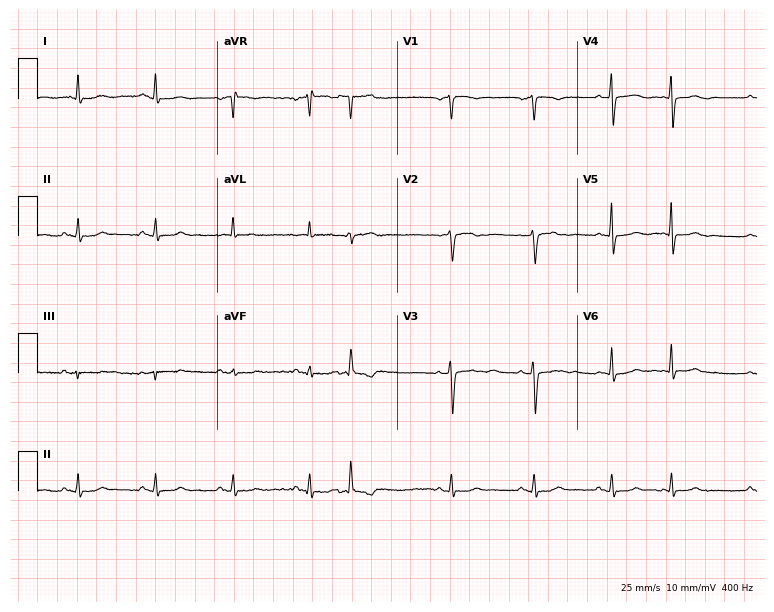
12-lead ECG (7.3-second recording at 400 Hz) from a 79-year-old woman. Screened for six findings — first-degree AV block, right bundle branch block, left bundle branch block, sinus bradycardia, atrial fibrillation, sinus tachycardia — none is recorded. Only these six findings were labelled.